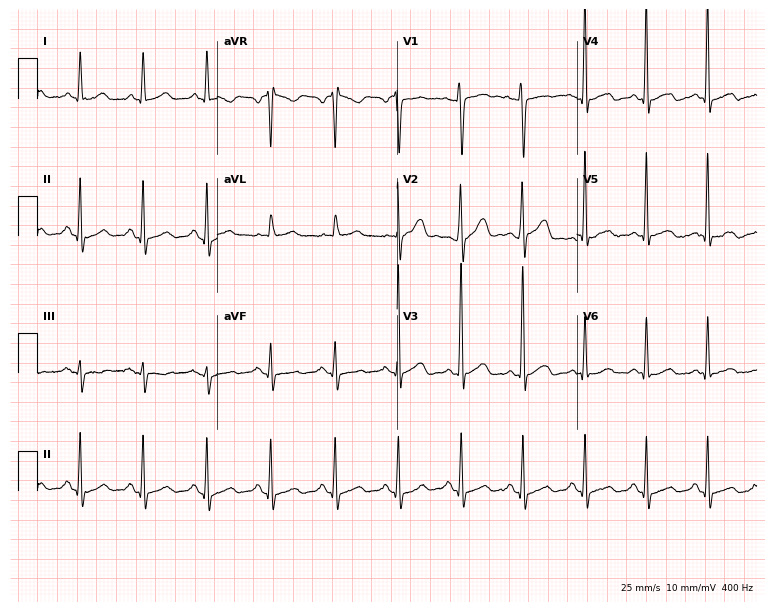
Standard 12-lead ECG recorded from a male, 65 years old (7.3-second recording at 400 Hz). None of these six findings is recorded: first-degree AV block, right bundle branch block, left bundle branch block, sinus bradycardia, atrial fibrillation, sinus tachycardia. Findings outside these six are not listed.